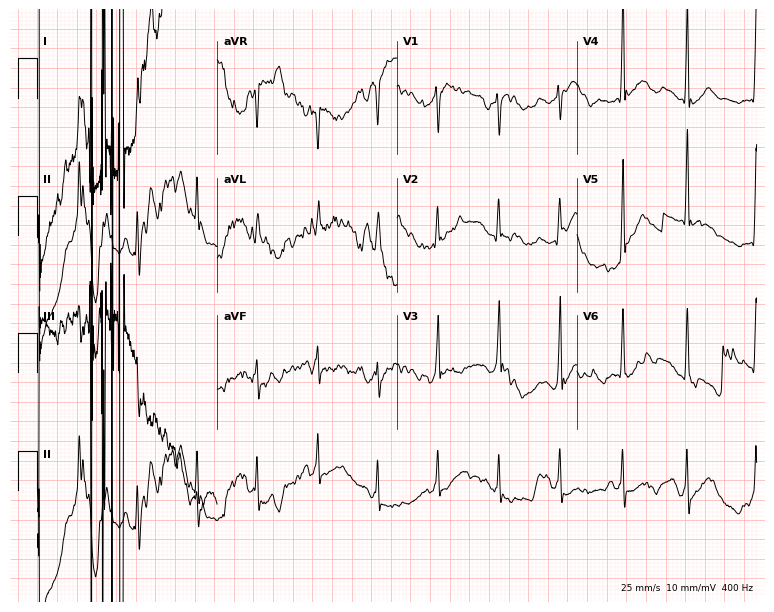
12-lead ECG from a 47-year-old man (7.3-second recording at 400 Hz). No first-degree AV block, right bundle branch block (RBBB), left bundle branch block (LBBB), sinus bradycardia, atrial fibrillation (AF) or sinus tachycardia recorded for this tracing. Other findings, if any, are not listed.